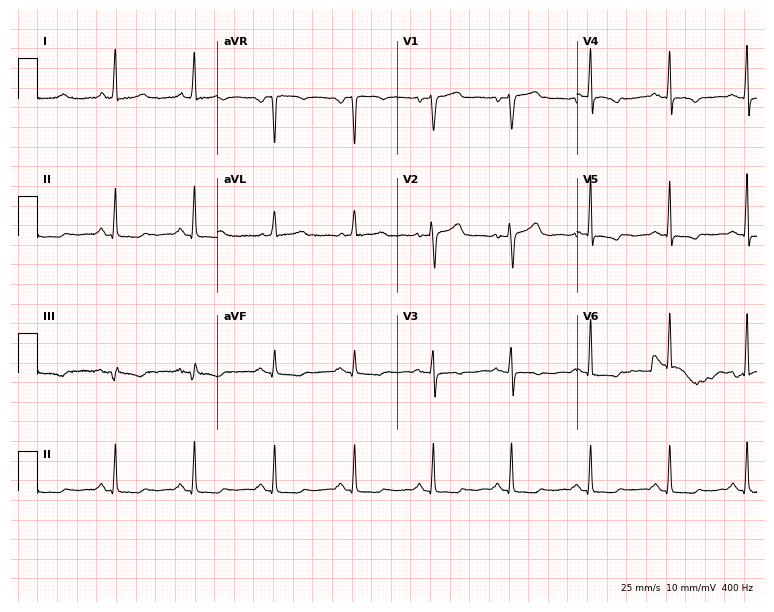
ECG — a female patient, 52 years old. Screened for six findings — first-degree AV block, right bundle branch block (RBBB), left bundle branch block (LBBB), sinus bradycardia, atrial fibrillation (AF), sinus tachycardia — none is recorded. Other findings, if any, are not listed.